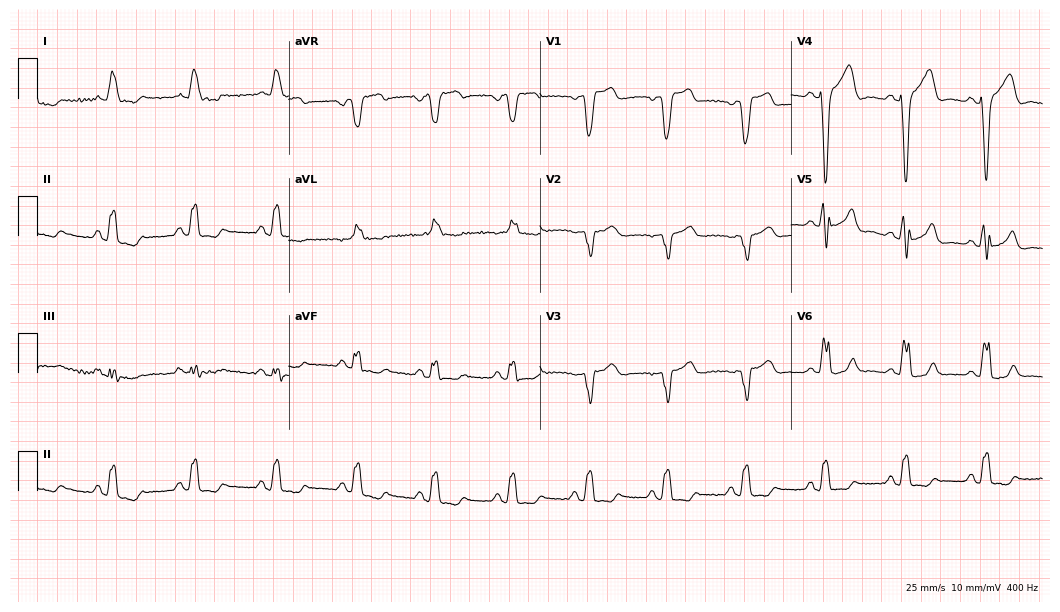
Electrocardiogram (10.2-second recording at 400 Hz), a 45-year-old male. Interpretation includes left bundle branch block.